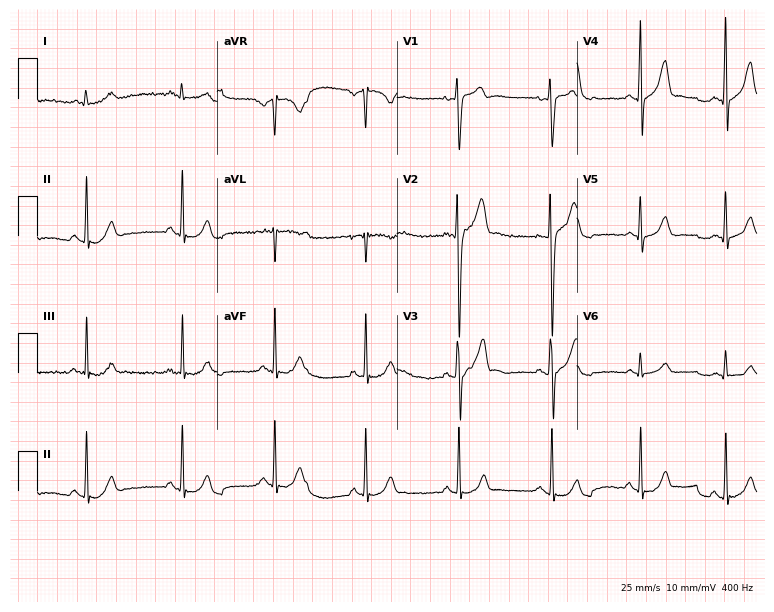
12-lead ECG from a male patient, 35 years old. Screened for six findings — first-degree AV block, right bundle branch block, left bundle branch block, sinus bradycardia, atrial fibrillation, sinus tachycardia — none is recorded. Findings outside these six are not listed.